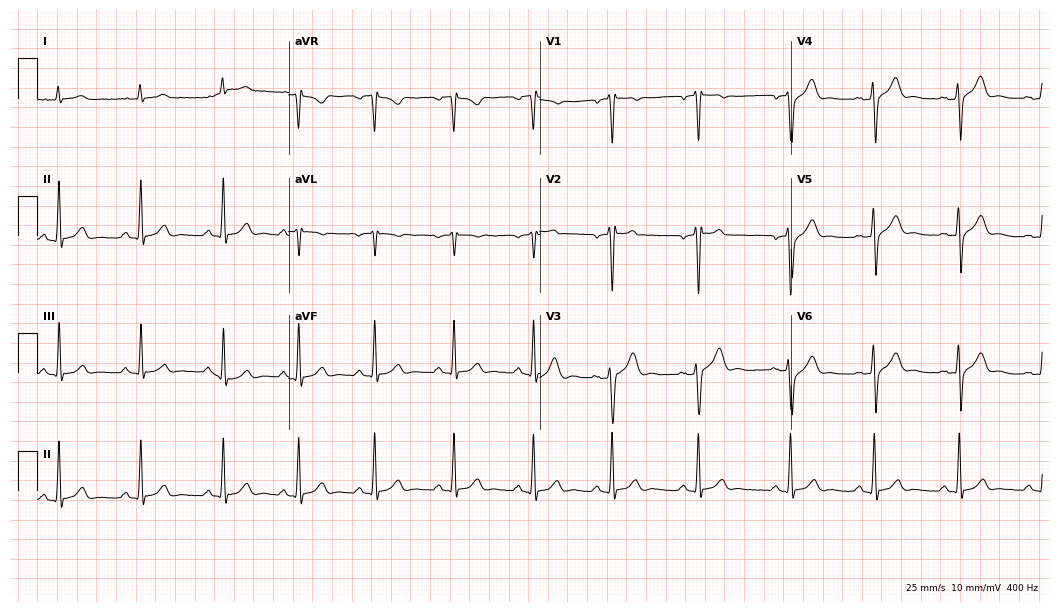
Resting 12-lead electrocardiogram. Patient: a 22-year-old male. None of these six findings is recorded: first-degree AV block, right bundle branch block (RBBB), left bundle branch block (LBBB), sinus bradycardia, atrial fibrillation (AF), sinus tachycardia. Only these six findings were labelled.